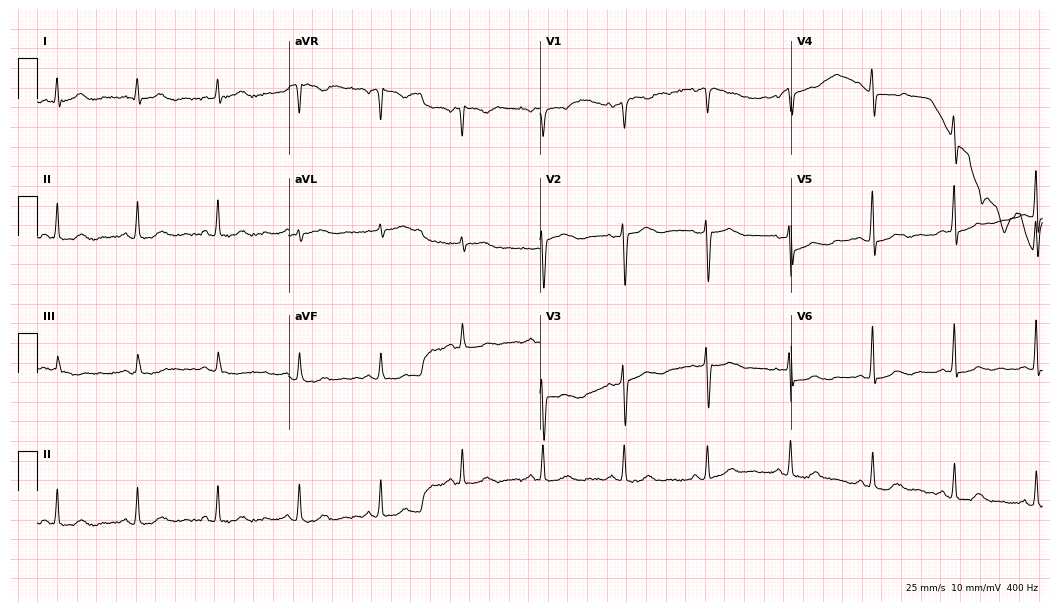
Electrocardiogram, a female, 68 years old. Of the six screened findings (first-degree AV block, right bundle branch block (RBBB), left bundle branch block (LBBB), sinus bradycardia, atrial fibrillation (AF), sinus tachycardia), none is recorded. Only these six findings were labelled.